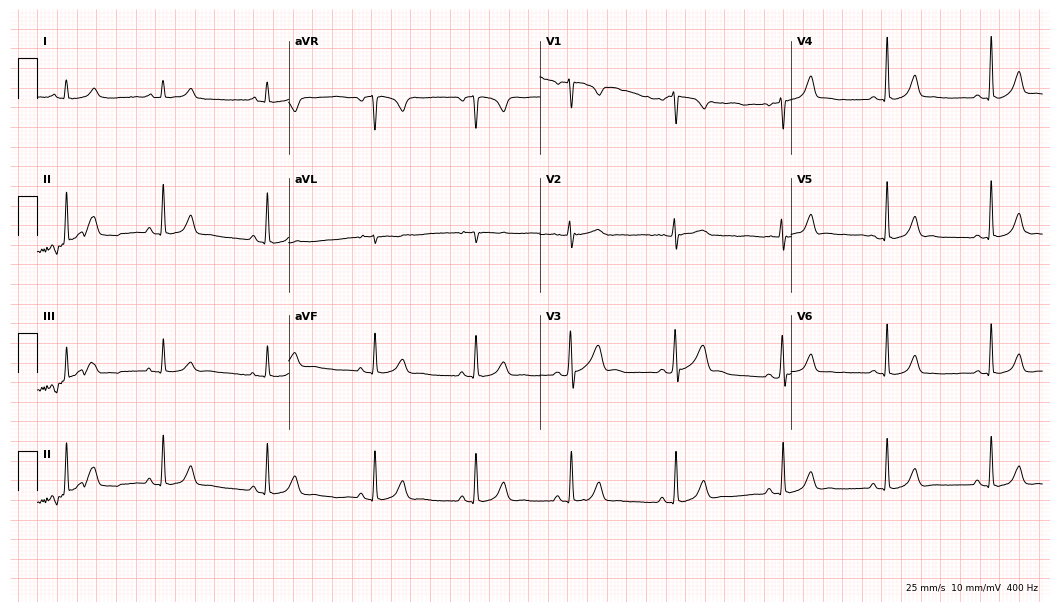
12-lead ECG from a 25-year-old woman (10.2-second recording at 400 Hz). Recorded interpretation: within normal limits.